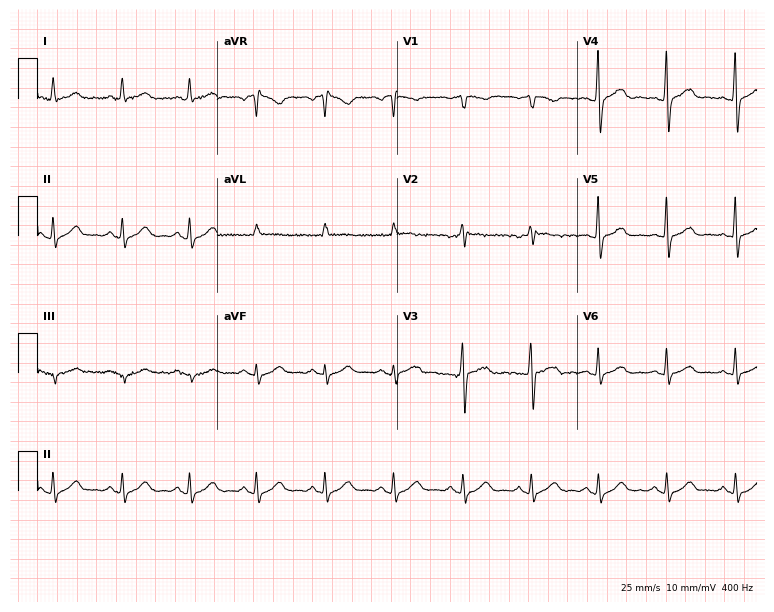
12-lead ECG (7.3-second recording at 400 Hz) from a man, 58 years old. Screened for six findings — first-degree AV block, right bundle branch block, left bundle branch block, sinus bradycardia, atrial fibrillation, sinus tachycardia — none is recorded.